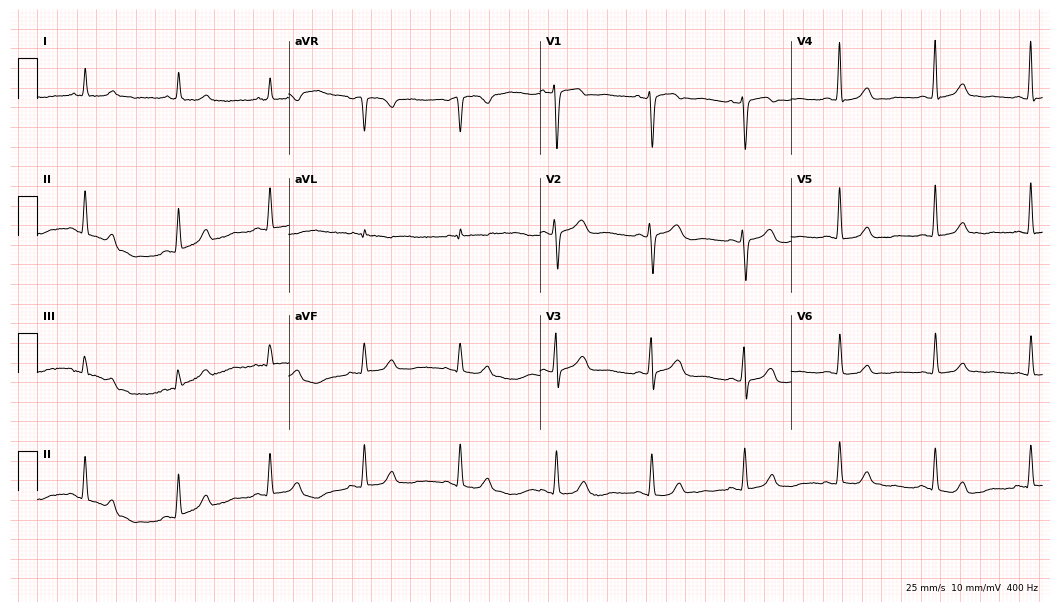
12-lead ECG from a woman, 59 years old (10.2-second recording at 400 Hz). Recorded interpretation: within normal limits.